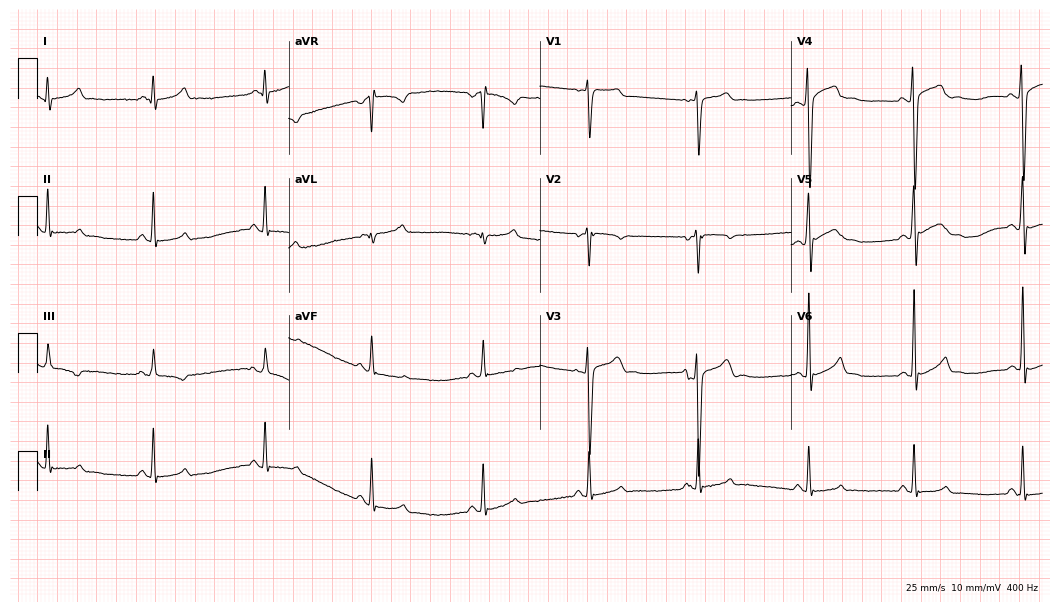
Resting 12-lead electrocardiogram. Patient: a male, 18 years old. Read as a normal ECG.